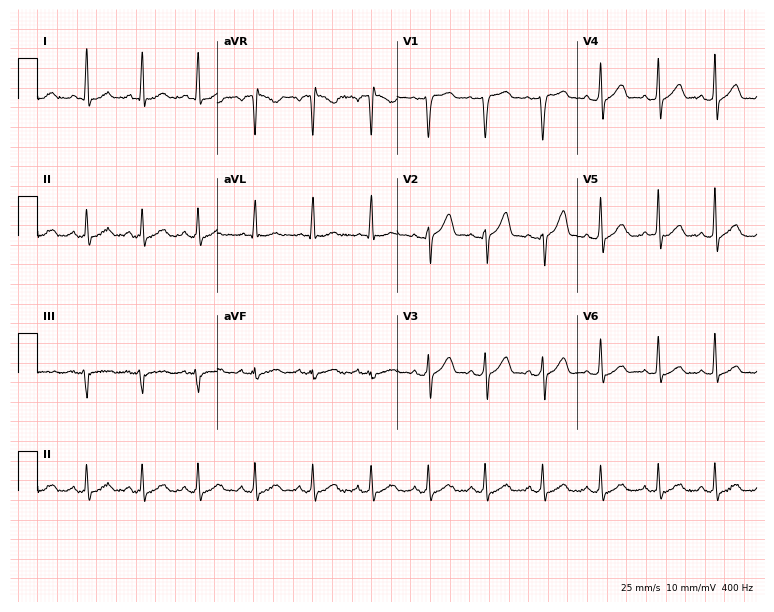
Resting 12-lead electrocardiogram (7.3-second recording at 400 Hz). Patient: a male, 26 years old. The tracing shows sinus tachycardia (a sinus rate of 100 beats per minute or more).